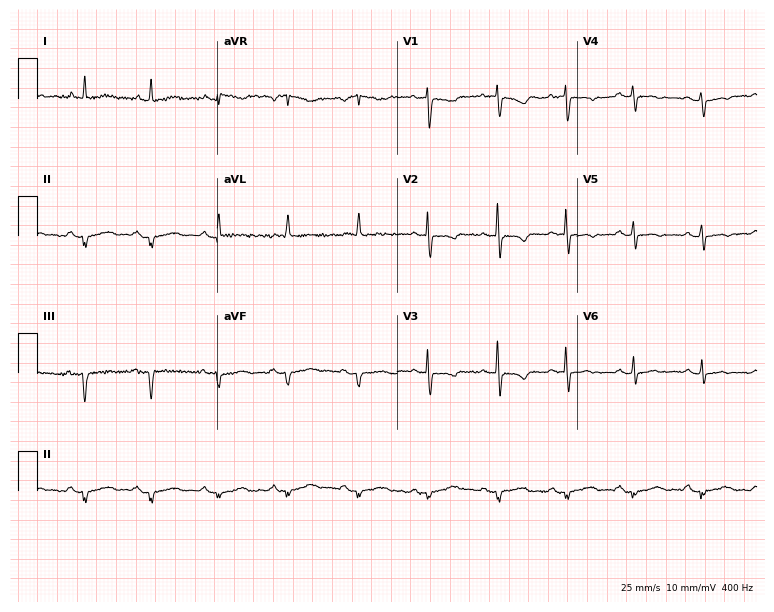
12-lead ECG from a female patient, 67 years old. Screened for six findings — first-degree AV block, right bundle branch block, left bundle branch block, sinus bradycardia, atrial fibrillation, sinus tachycardia — none is recorded.